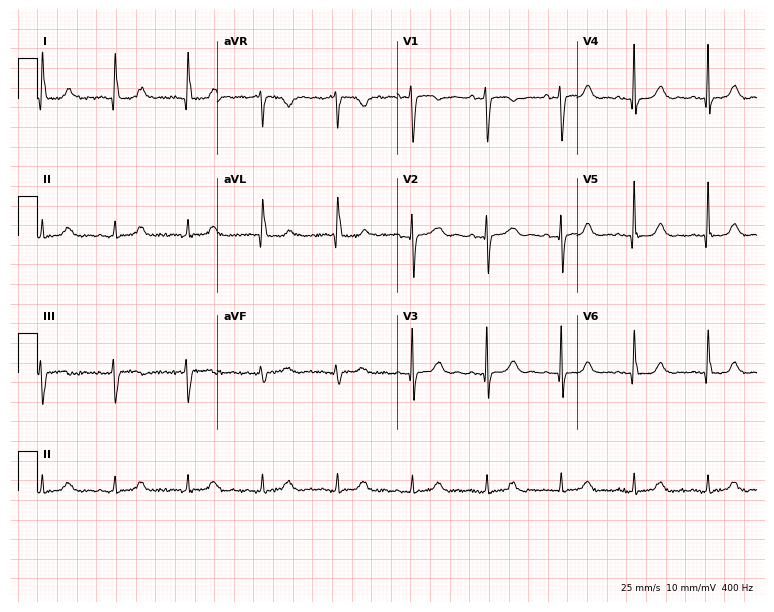
12-lead ECG (7.3-second recording at 400 Hz) from a 68-year-old female patient. Screened for six findings — first-degree AV block, right bundle branch block, left bundle branch block, sinus bradycardia, atrial fibrillation, sinus tachycardia — none is recorded.